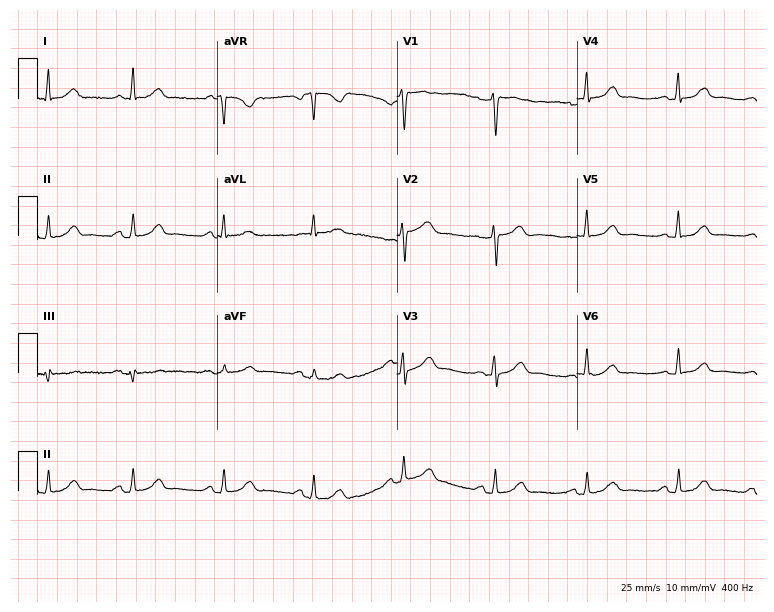
Standard 12-lead ECG recorded from a 52-year-old woman (7.3-second recording at 400 Hz). Read as a normal ECG.